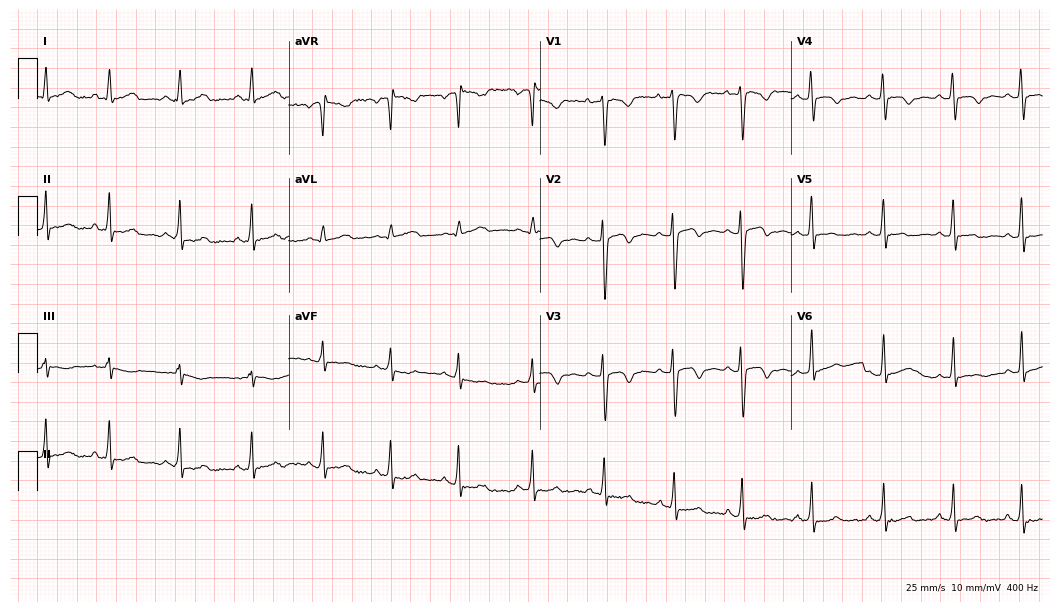
12-lead ECG from a 22-year-old female. Screened for six findings — first-degree AV block, right bundle branch block (RBBB), left bundle branch block (LBBB), sinus bradycardia, atrial fibrillation (AF), sinus tachycardia — none is recorded. Other findings, if any, are not listed.